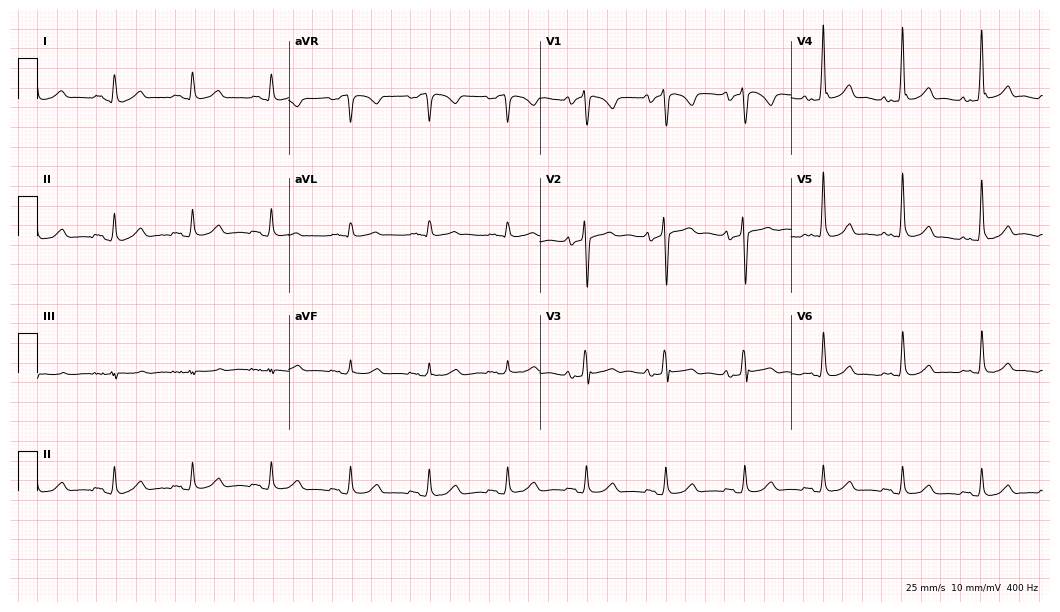
Electrocardiogram, a 53-year-old man. Overall reading on record: normal ECG.